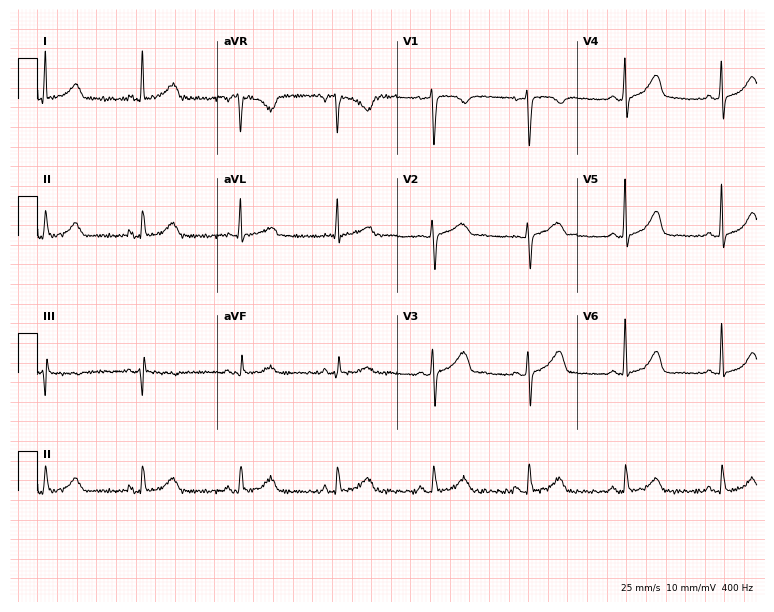
Resting 12-lead electrocardiogram (7.3-second recording at 400 Hz). Patient: a 47-year-old woman. Read as a normal ECG.